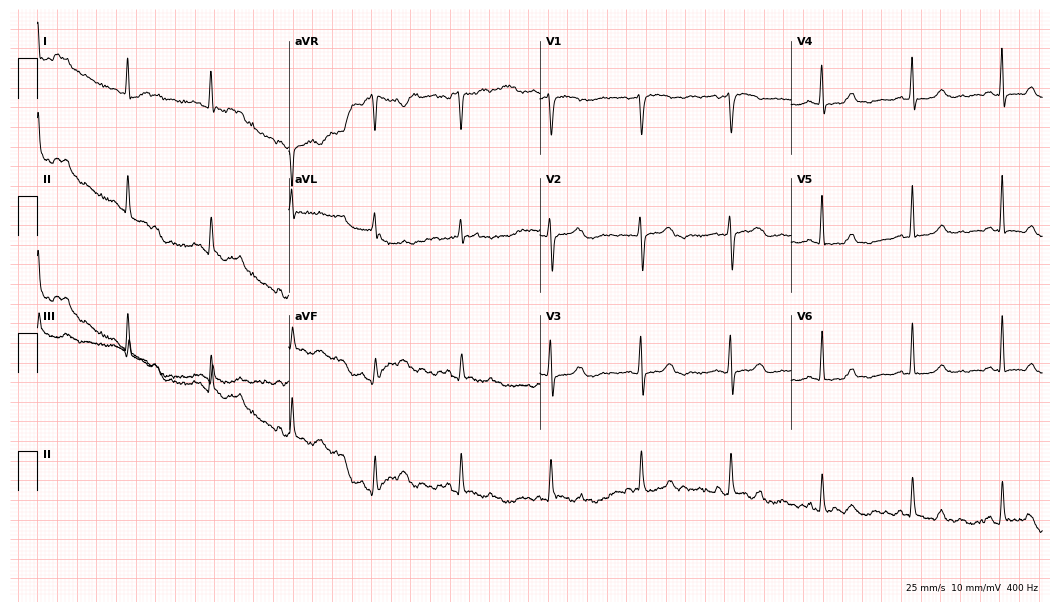
12-lead ECG from a 68-year-old female. Recorded interpretation: within normal limits.